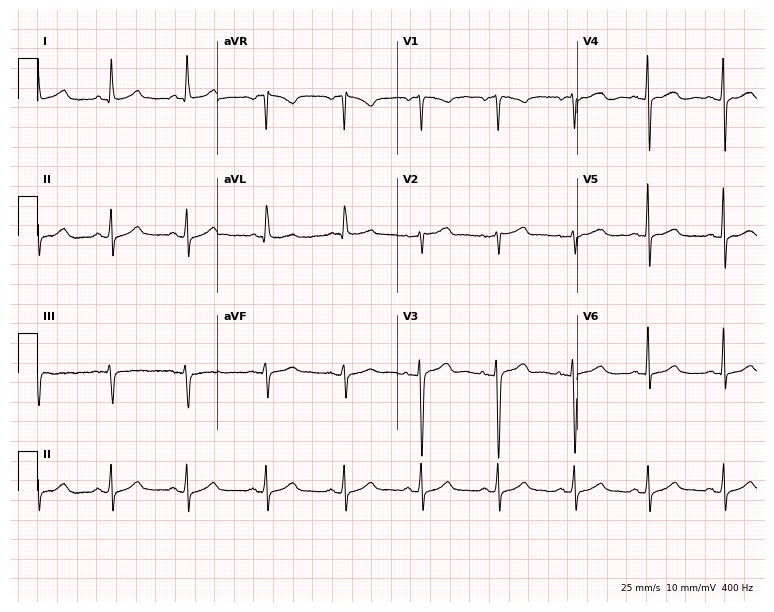
Standard 12-lead ECG recorded from a 68-year-old female. Read as a normal ECG.